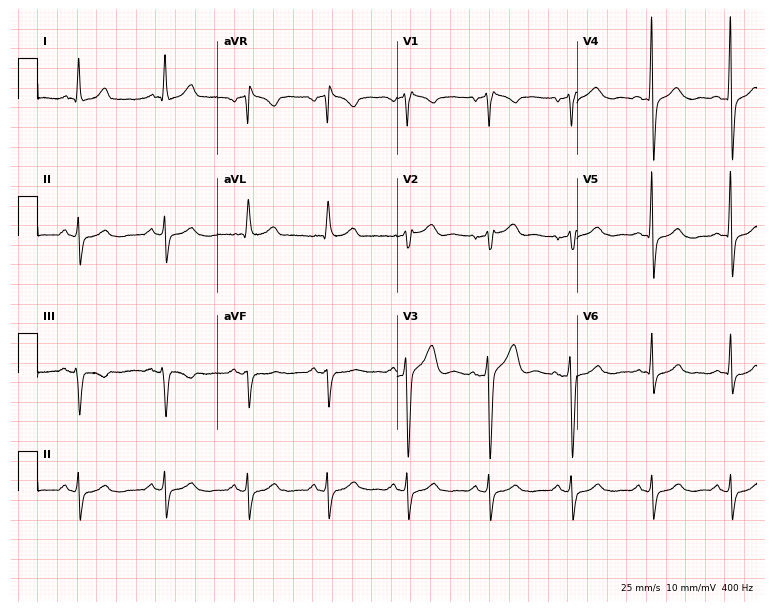
ECG (7.3-second recording at 400 Hz) — a male, 60 years old. Screened for six findings — first-degree AV block, right bundle branch block, left bundle branch block, sinus bradycardia, atrial fibrillation, sinus tachycardia — none is recorded.